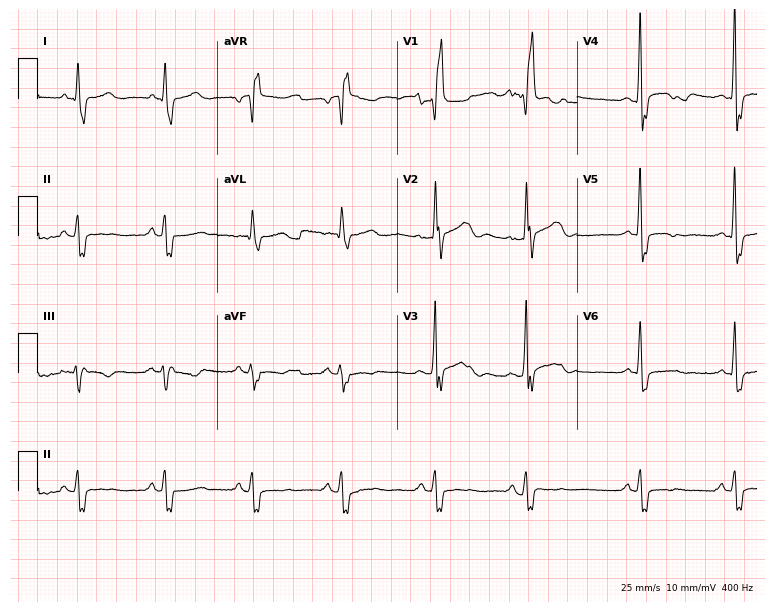
Standard 12-lead ECG recorded from a male, 70 years old (7.3-second recording at 400 Hz). The tracing shows right bundle branch block.